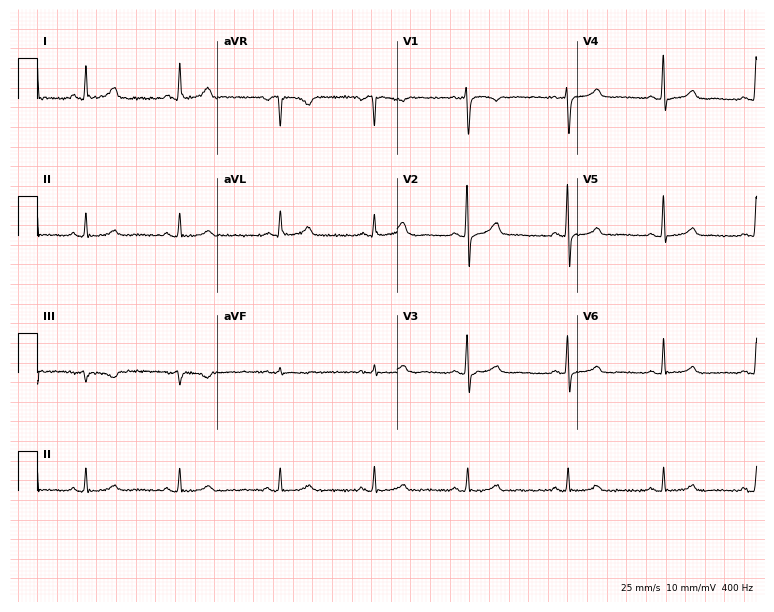
ECG (7.3-second recording at 400 Hz) — a female, 55 years old. Labelled as a normal ECG.